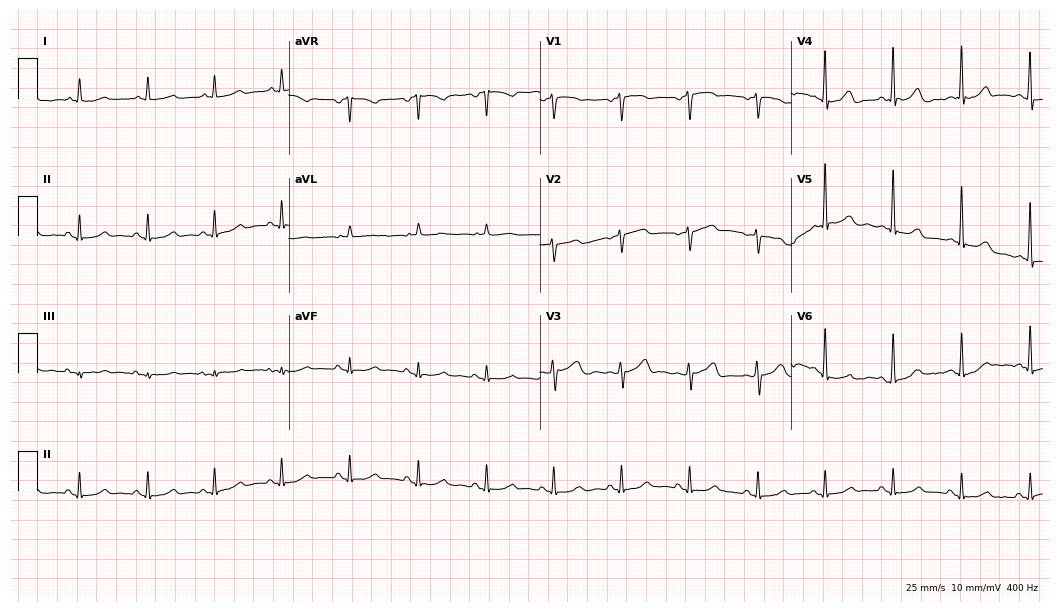
12-lead ECG (10.2-second recording at 400 Hz) from a woman, 82 years old. Labelled as a normal ECG.